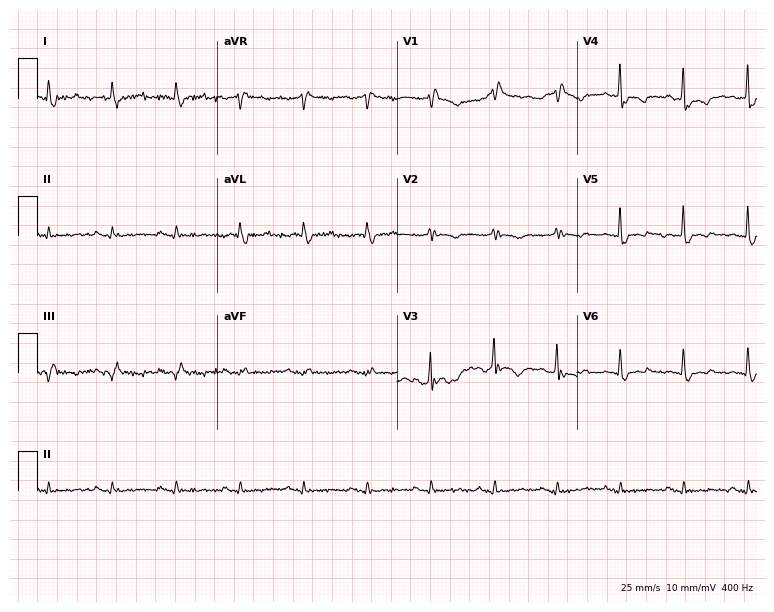
Electrocardiogram (7.3-second recording at 400 Hz), a man, 78 years old. Of the six screened findings (first-degree AV block, right bundle branch block (RBBB), left bundle branch block (LBBB), sinus bradycardia, atrial fibrillation (AF), sinus tachycardia), none is recorded. Other findings, if any, are not listed.